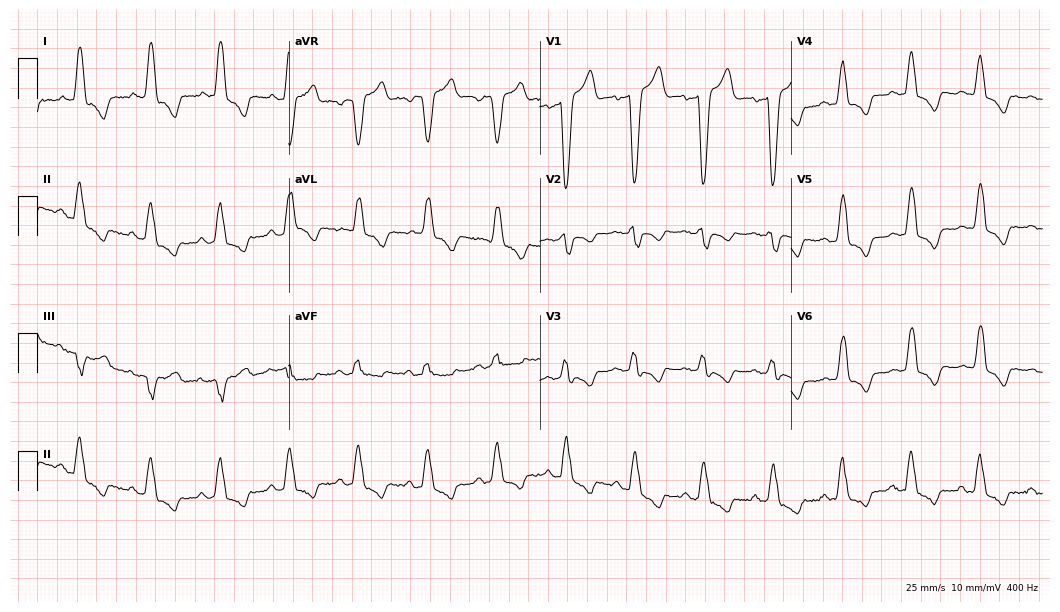
Electrocardiogram (10.2-second recording at 400 Hz), a female patient, 67 years old. Interpretation includes left bundle branch block (LBBB).